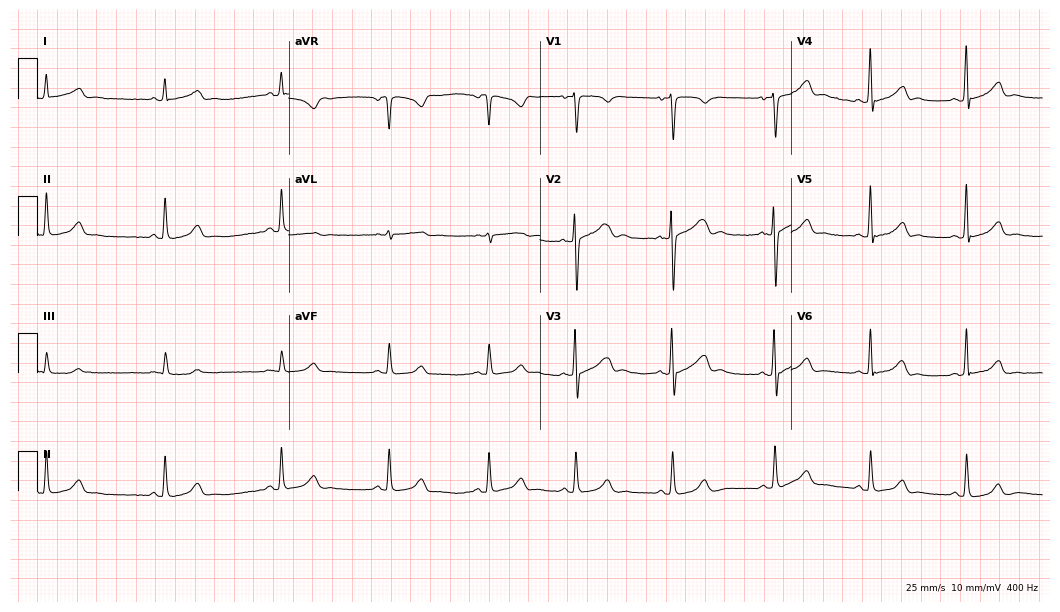
ECG (10.2-second recording at 400 Hz) — a woman, 17 years old. Labelled as a normal ECG.